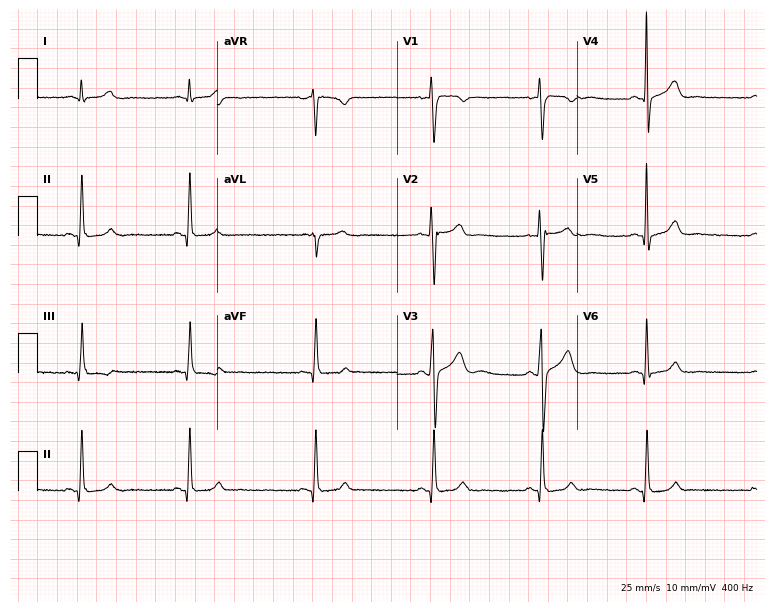
Standard 12-lead ECG recorded from a man, 24 years old (7.3-second recording at 400 Hz). Read as a normal ECG.